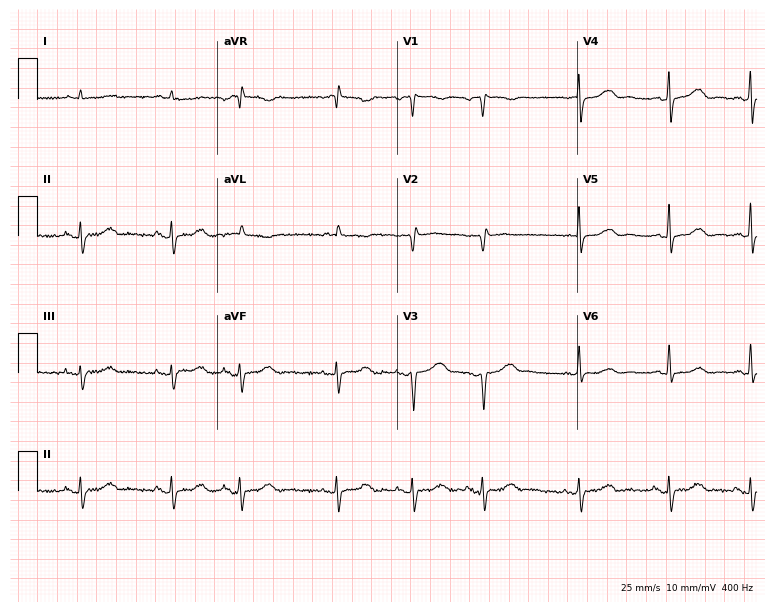
12-lead ECG (7.3-second recording at 400 Hz) from a man, 74 years old. Screened for six findings — first-degree AV block, right bundle branch block, left bundle branch block, sinus bradycardia, atrial fibrillation, sinus tachycardia — none is recorded.